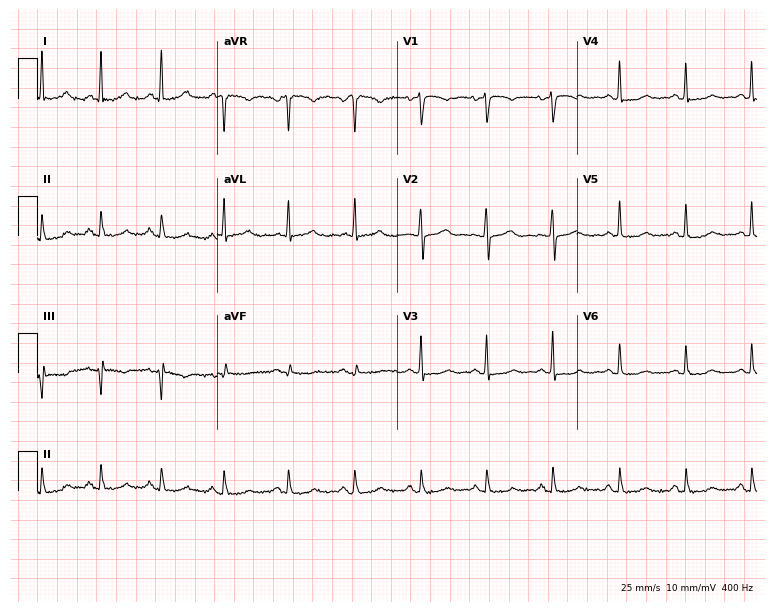
12-lead ECG (7.3-second recording at 400 Hz) from a female, 64 years old. Labelled as a normal ECG.